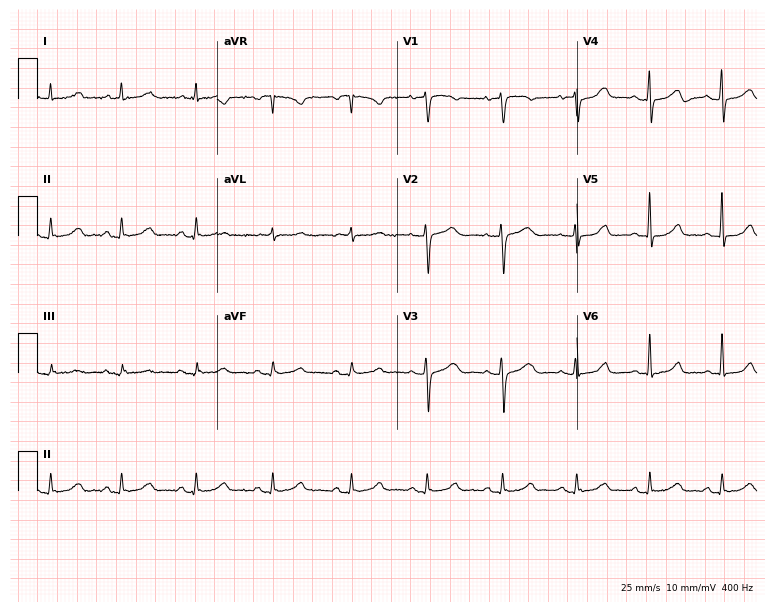
Electrocardiogram, a 70-year-old female. Overall reading on record: normal ECG.